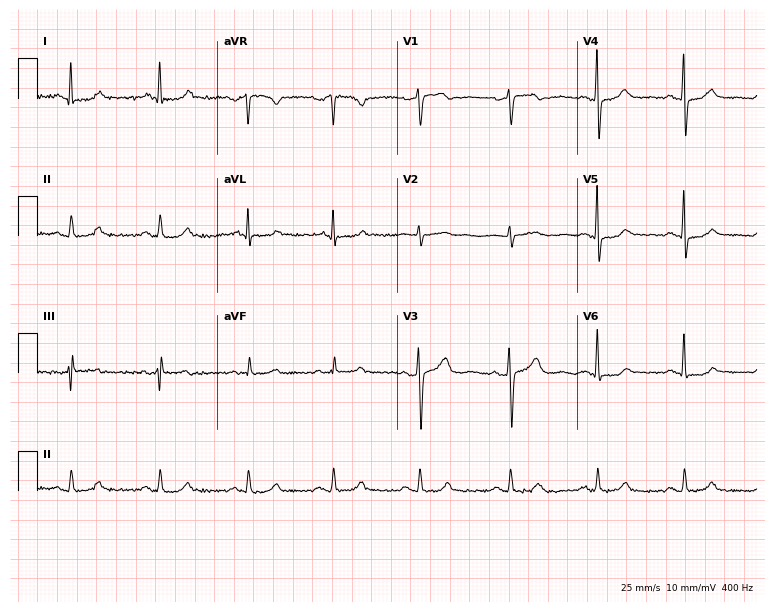
Resting 12-lead electrocardiogram (7.3-second recording at 400 Hz). Patient: a 50-year-old woman. Read as a normal ECG.